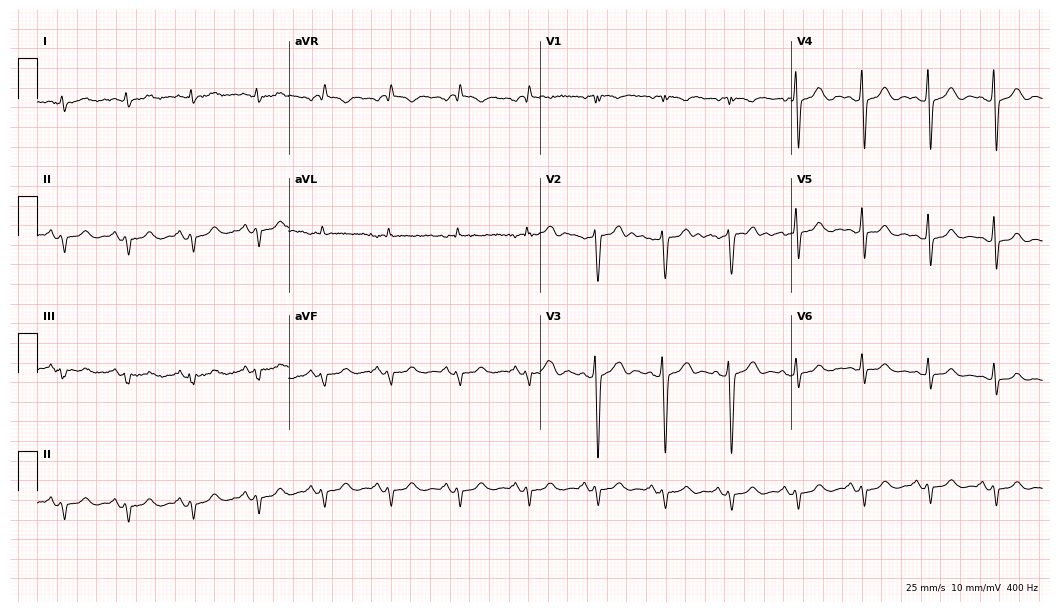
ECG (10.2-second recording at 400 Hz) — a man, 51 years old. Screened for six findings — first-degree AV block, right bundle branch block (RBBB), left bundle branch block (LBBB), sinus bradycardia, atrial fibrillation (AF), sinus tachycardia — none is recorded.